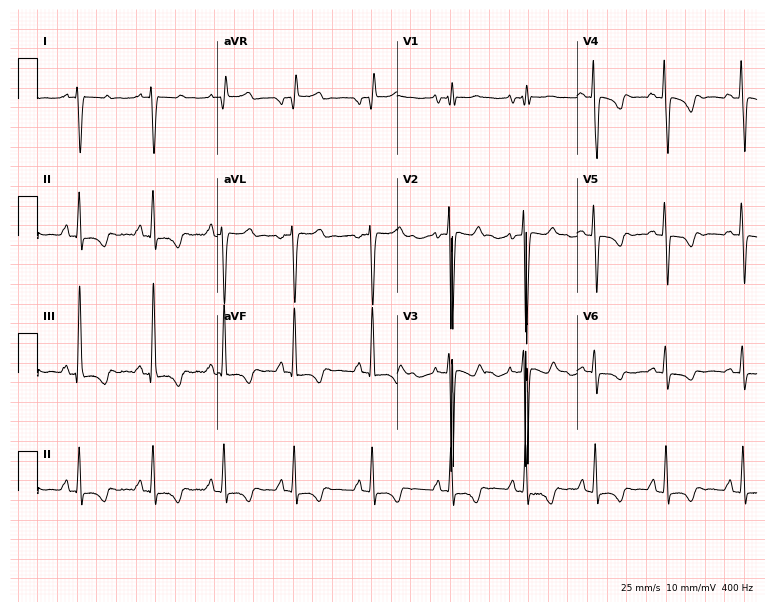
Resting 12-lead electrocardiogram. Patient: a female, 37 years old. None of these six findings is recorded: first-degree AV block, right bundle branch block, left bundle branch block, sinus bradycardia, atrial fibrillation, sinus tachycardia. Findings outside these six are not listed.